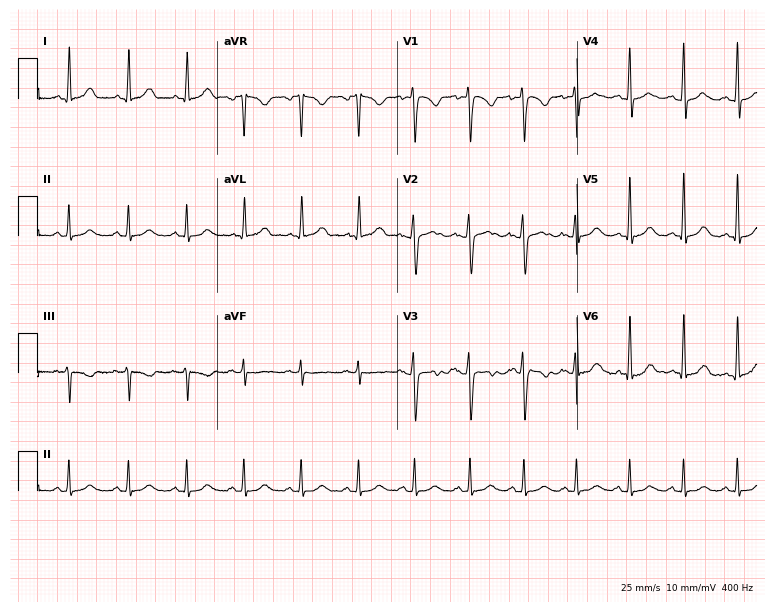
Standard 12-lead ECG recorded from a female, 37 years old (7.3-second recording at 400 Hz). The tracing shows sinus tachycardia (a sinus rate of 100 beats per minute or more).